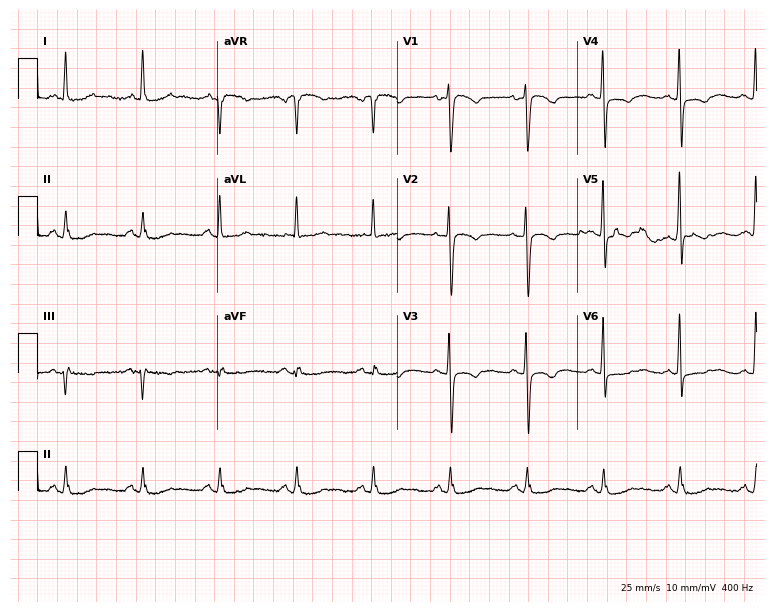
Standard 12-lead ECG recorded from a woman, 60 years old (7.3-second recording at 400 Hz). None of these six findings is recorded: first-degree AV block, right bundle branch block (RBBB), left bundle branch block (LBBB), sinus bradycardia, atrial fibrillation (AF), sinus tachycardia. Findings outside these six are not listed.